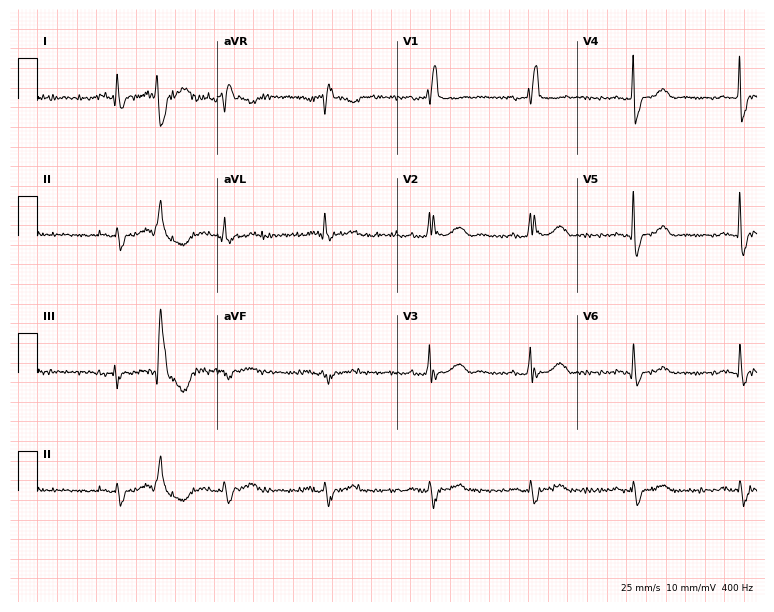
Electrocardiogram (7.3-second recording at 400 Hz), a 24-year-old female. Interpretation includes right bundle branch block.